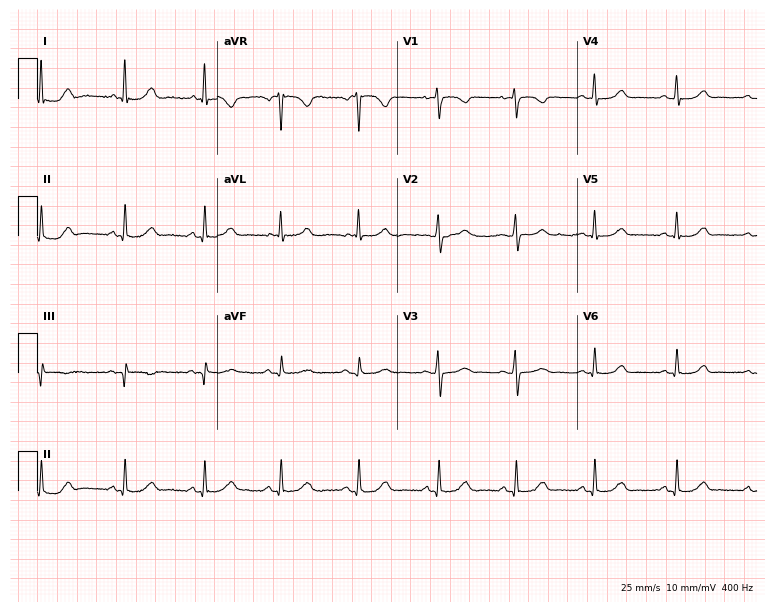
Electrocardiogram (7.3-second recording at 400 Hz), a 48-year-old woman. Overall reading on record: normal ECG.